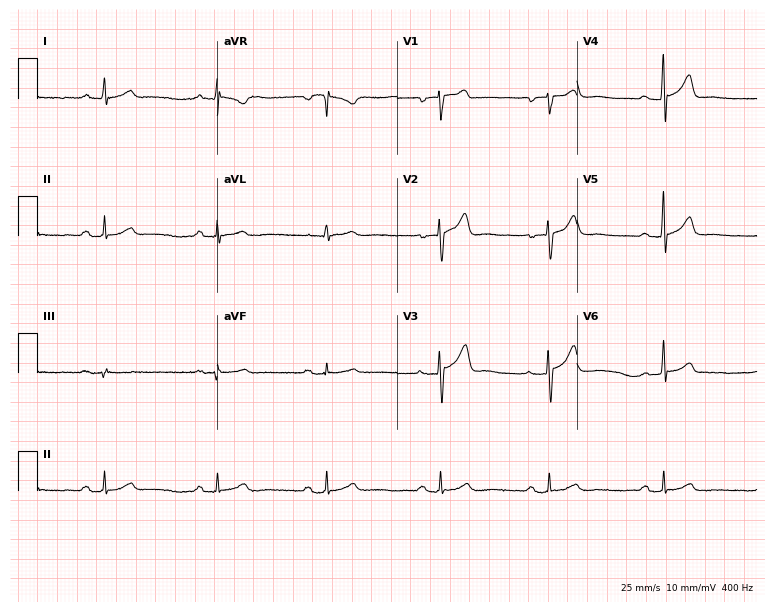
ECG (7.3-second recording at 400 Hz) — a male, 50 years old. Labelled as a normal ECG.